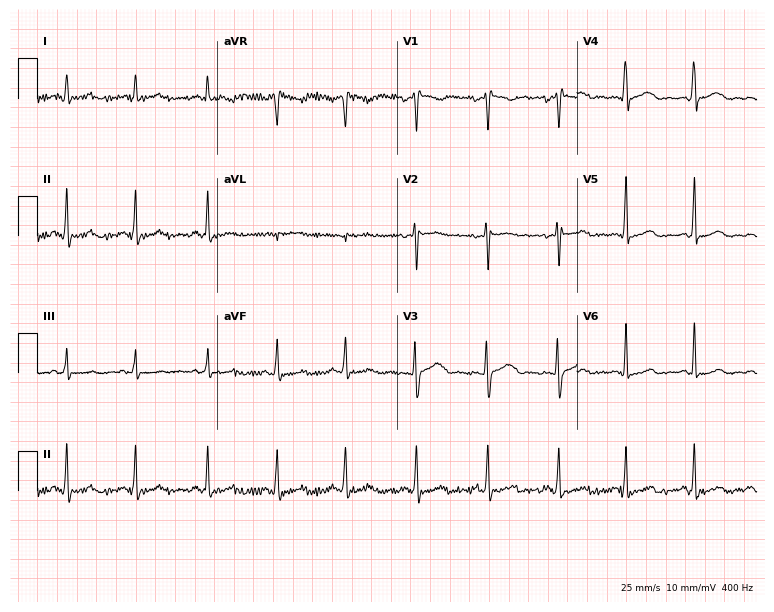
Standard 12-lead ECG recorded from a 26-year-old female. Read as a normal ECG.